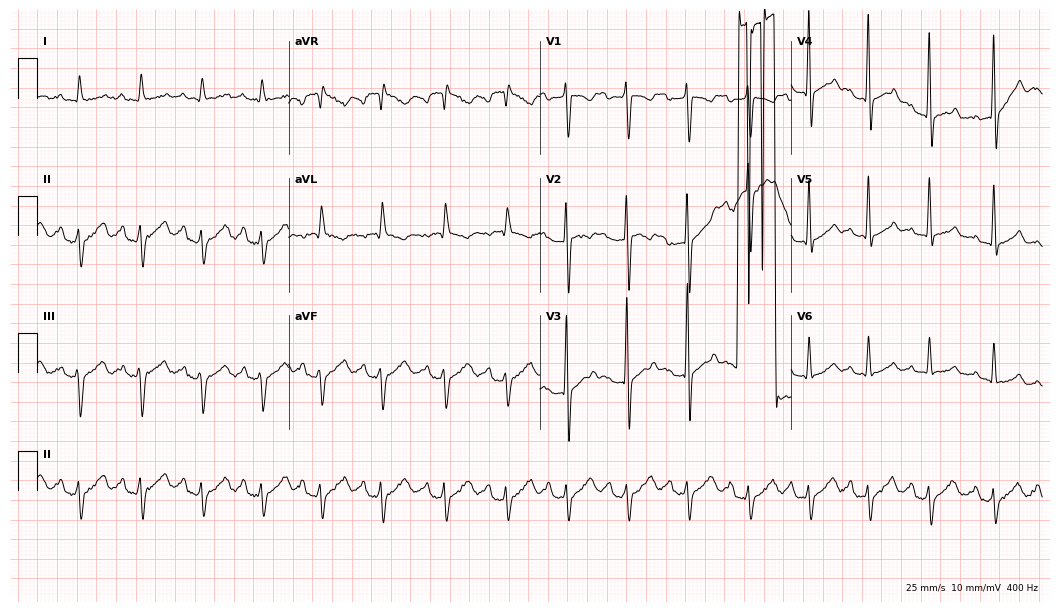
Standard 12-lead ECG recorded from a 34-year-old male patient. None of these six findings is recorded: first-degree AV block, right bundle branch block, left bundle branch block, sinus bradycardia, atrial fibrillation, sinus tachycardia. Other findings, if any, are not listed.